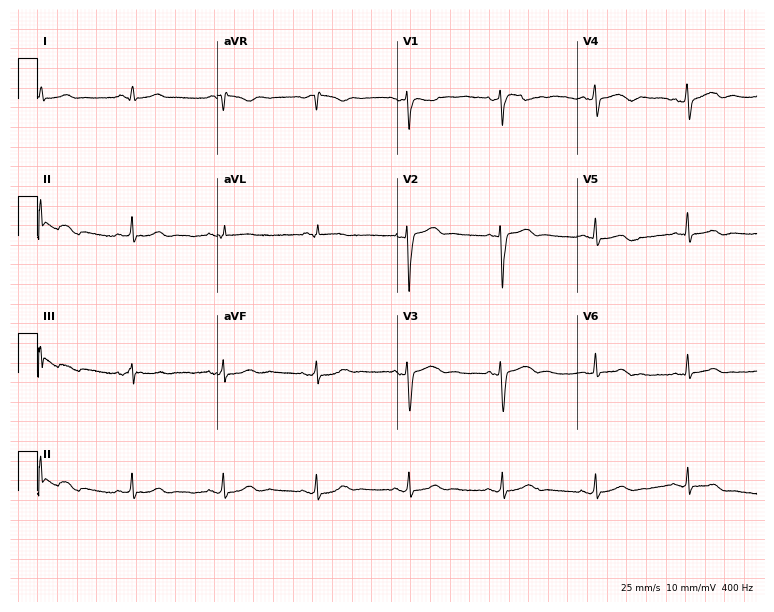
12-lead ECG from a 49-year-old male patient (7.3-second recording at 400 Hz). No first-degree AV block, right bundle branch block, left bundle branch block, sinus bradycardia, atrial fibrillation or sinus tachycardia recorded for this tracing. Findings outside these six are not listed.